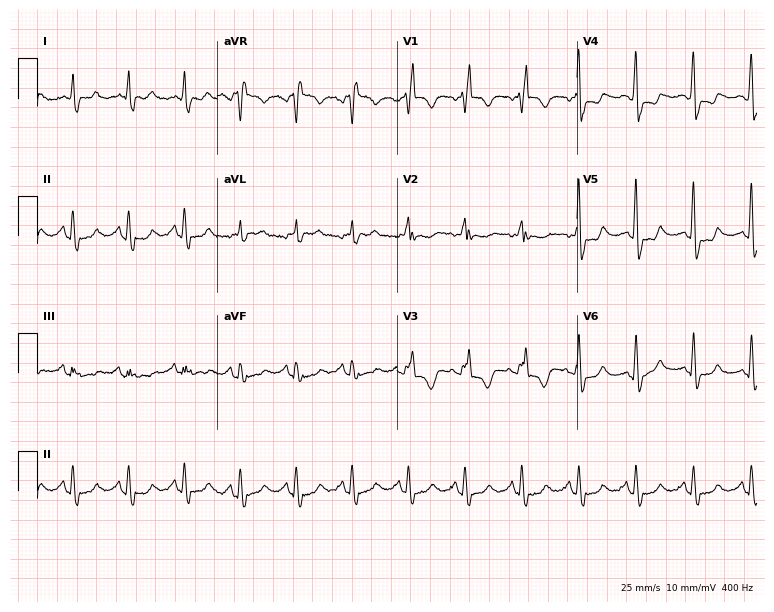
12-lead ECG from a 72-year-old female patient (7.3-second recording at 400 Hz). No first-degree AV block, right bundle branch block (RBBB), left bundle branch block (LBBB), sinus bradycardia, atrial fibrillation (AF) or sinus tachycardia recorded for this tracing. Only these six findings were labelled.